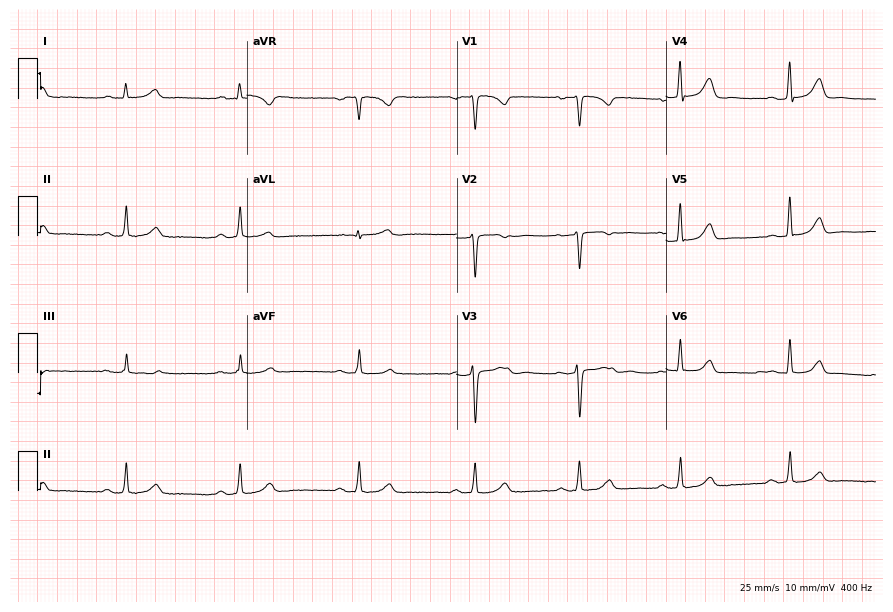
12-lead ECG (8.5-second recording at 400 Hz) from a female, 36 years old. Screened for six findings — first-degree AV block, right bundle branch block, left bundle branch block, sinus bradycardia, atrial fibrillation, sinus tachycardia — none is recorded.